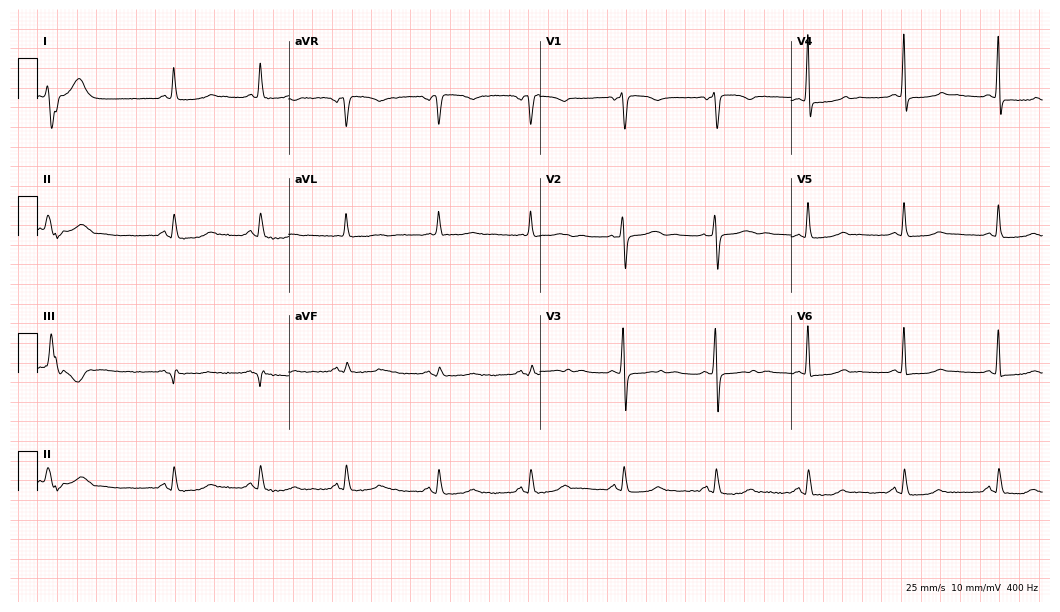
Standard 12-lead ECG recorded from a woman, 64 years old. None of these six findings is recorded: first-degree AV block, right bundle branch block (RBBB), left bundle branch block (LBBB), sinus bradycardia, atrial fibrillation (AF), sinus tachycardia. Only these six findings were labelled.